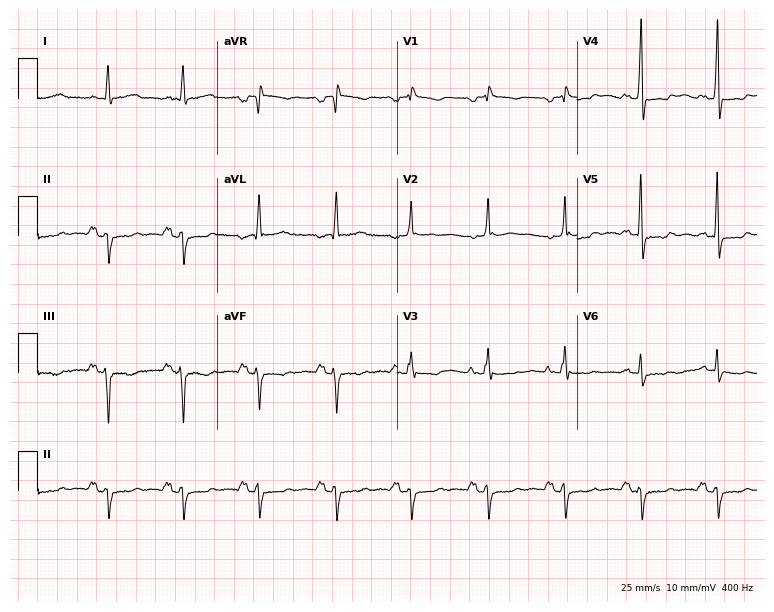
12-lead ECG from a male, 85 years old. Screened for six findings — first-degree AV block, right bundle branch block, left bundle branch block, sinus bradycardia, atrial fibrillation, sinus tachycardia — none is recorded. Only these six findings were labelled.